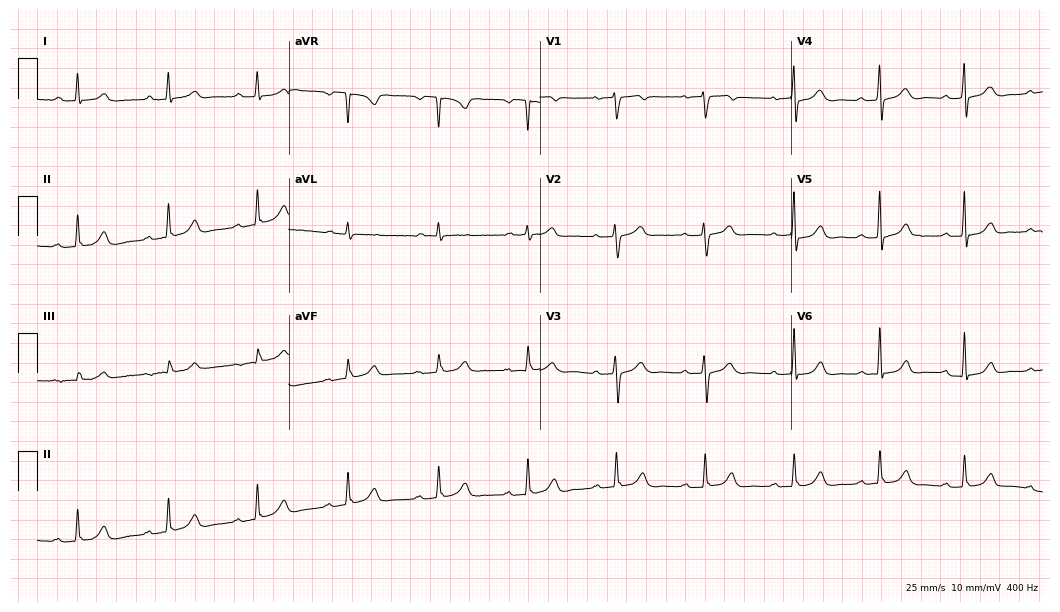
Standard 12-lead ECG recorded from a woman, 66 years old (10.2-second recording at 400 Hz). None of these six findings is recorded: first-degree AV block, right bundle branch block (RBBB), left bundle branch block (LBBB), sinus bradycardia, atrial fibrillation (AF), sinus tachycardia. Findings outside these six are not listed.